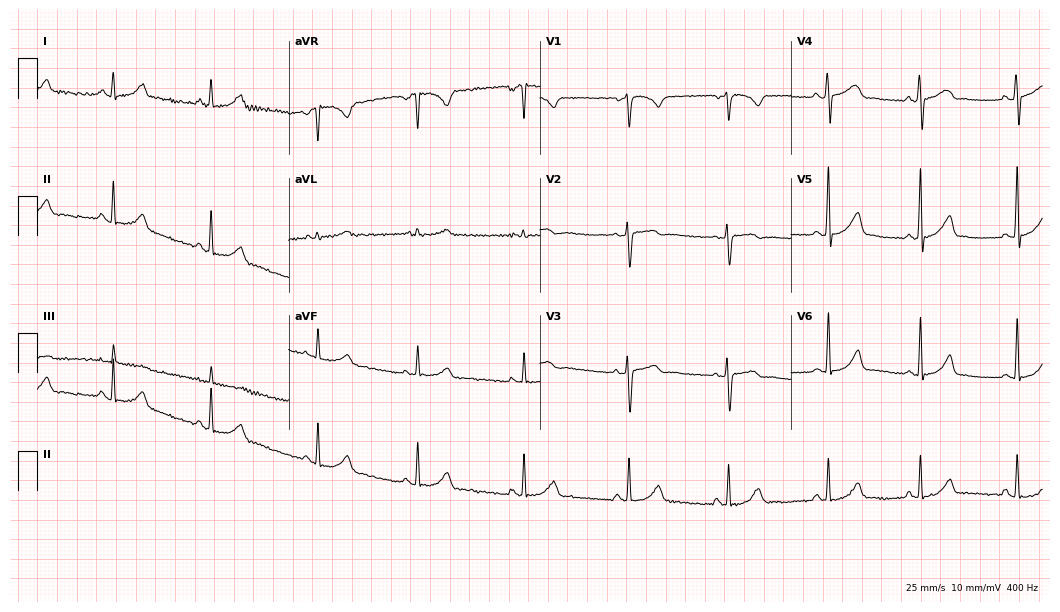
Resting 12-lead electrocardiogram (10.2-second recording at 400 Hz). Patient: a woman, 22 years old. Read as a normal ECG.